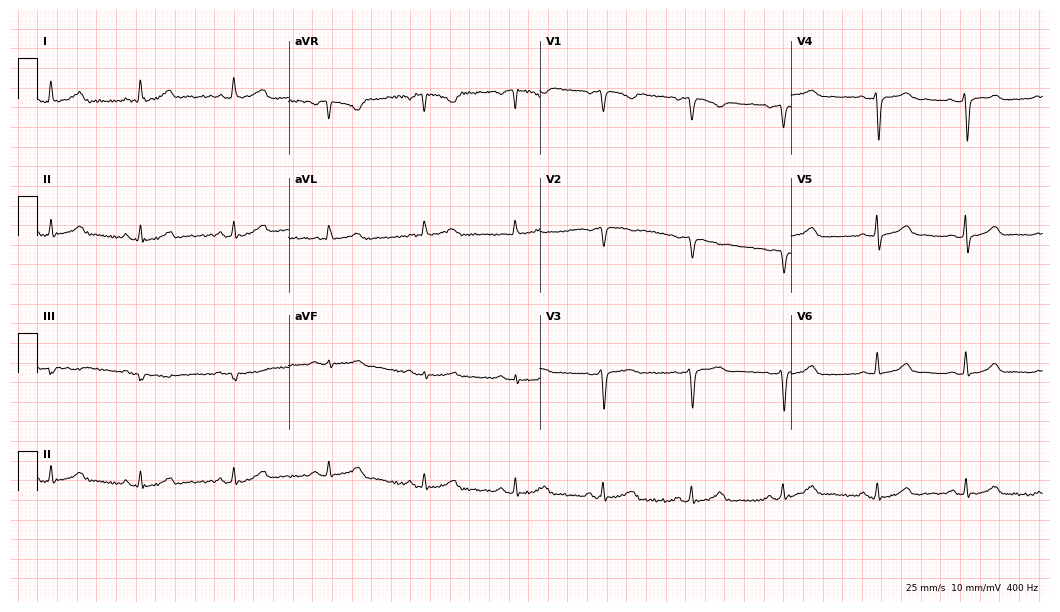
Resting 12-lead electrocardiogram (10.2-second recording at 400 Hz). Patient: a woman, 54 years old. Read as a normal ECG.